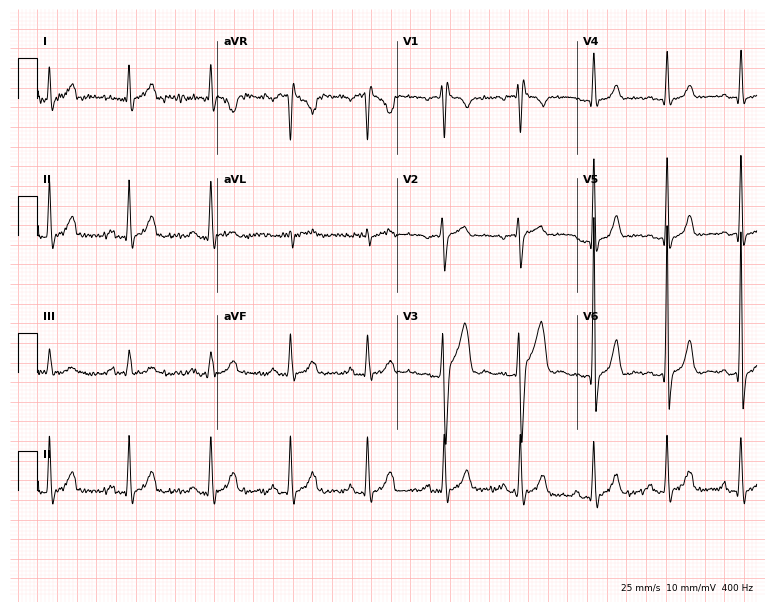
12-lead ECG from a 23-year-old man. Labelled as a normal ECG.